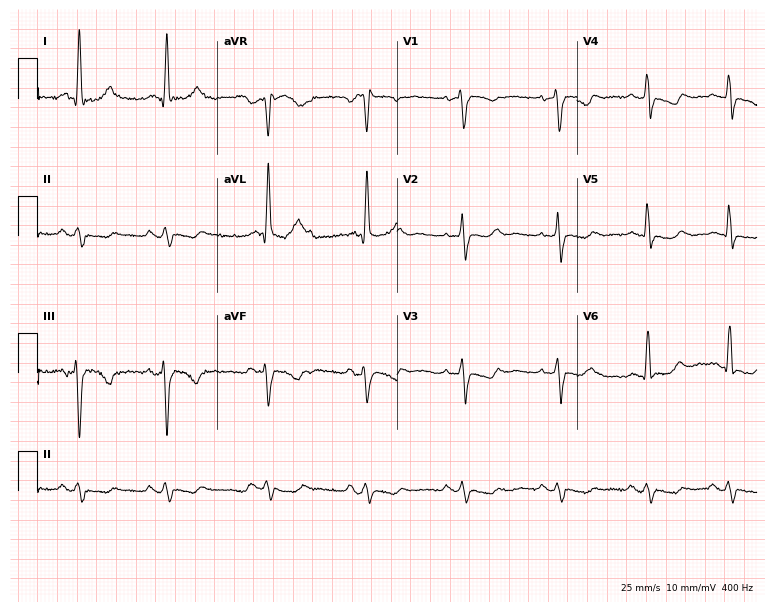
12-lead ECG (7.3-second recording at 400 Hz) from a female patient, 72 years old. Screened for six findings — first-degree AV block, right bundle branch block, left bundle branch block, sinus bradycardia, atrial fibrillation, sinus tachycardia — none is recorded.